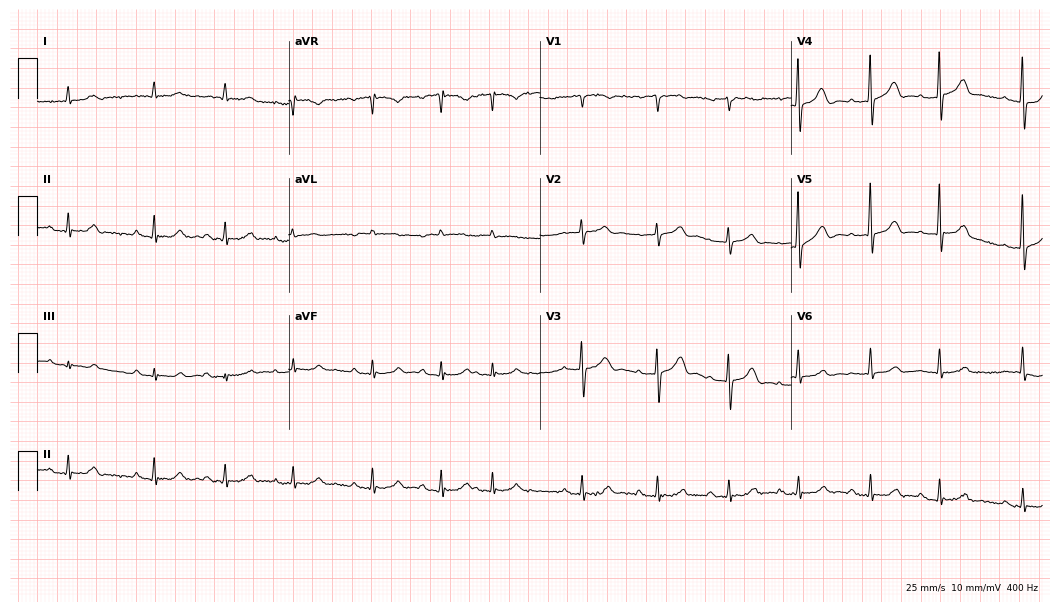
ECG — a male patient, 79 years old. Labelled as a normal ECG.